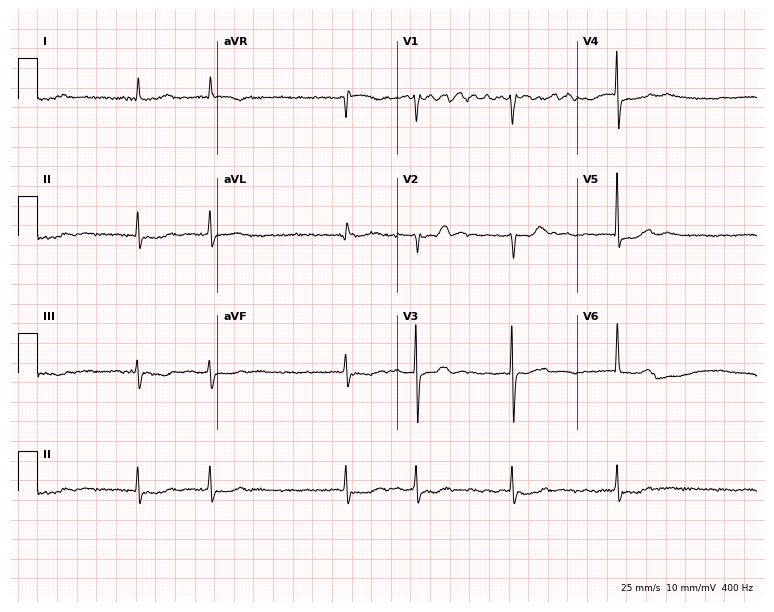
ECG — an 81-year-old woman. Findings include atrial fibrillation (AF).